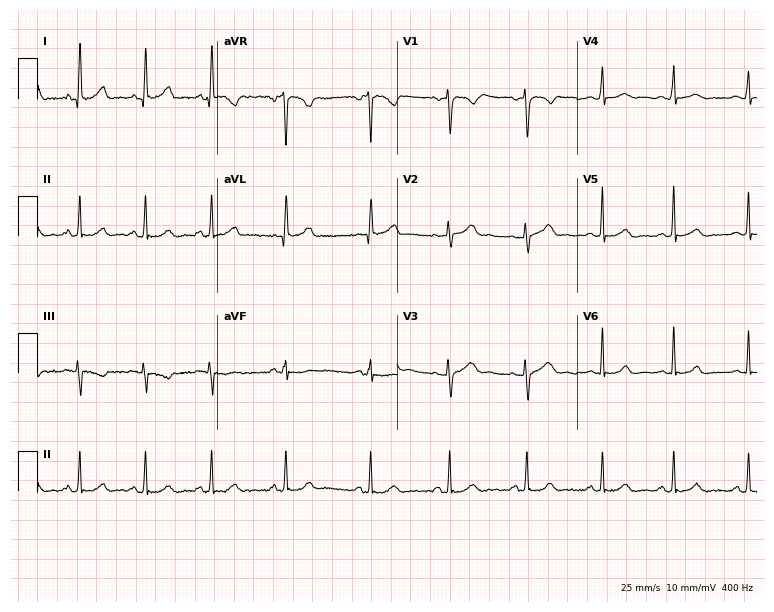
Resting 12-lead electrocardiogram. Patient: a 17-year-old female. Read as a normal ECG.